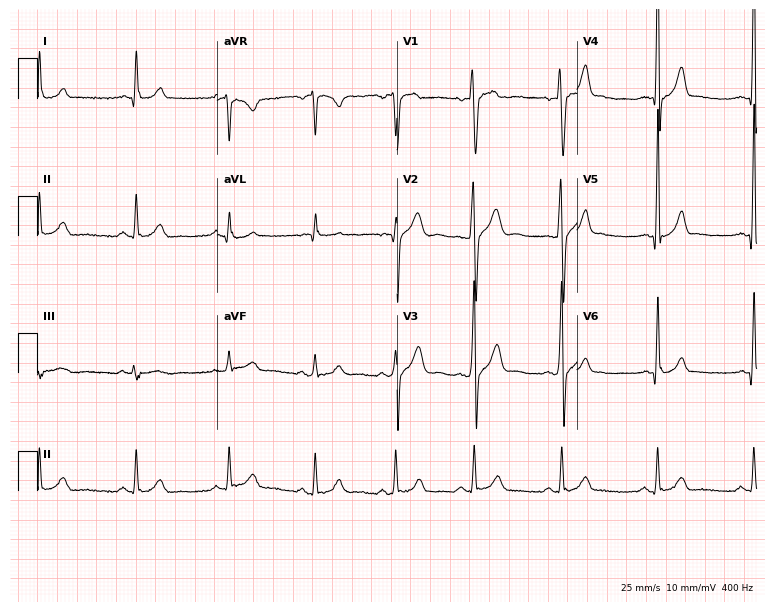
ECG (7.3-second recording at 400 Hz) — a 33-year-old male. Screened for six findings — first-degree AV block, right bundle branch block, left bundle branch block, sinus bradycardia, atrial fibrillation, sinus tachycardia — none is recorded. Other findings, if any, are not listed.